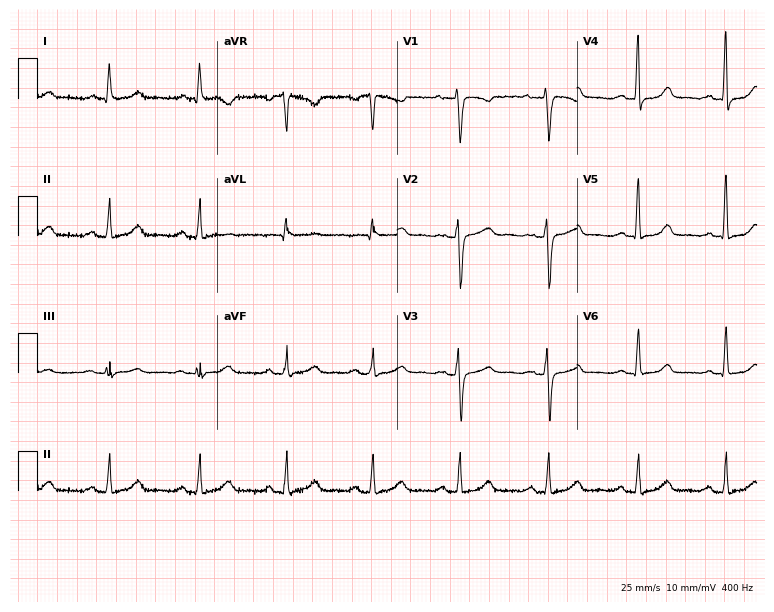
12-lead ECG (7.3-second recording at 400 Hz) from a female, 43 years old. Labelled as a normal ECG.